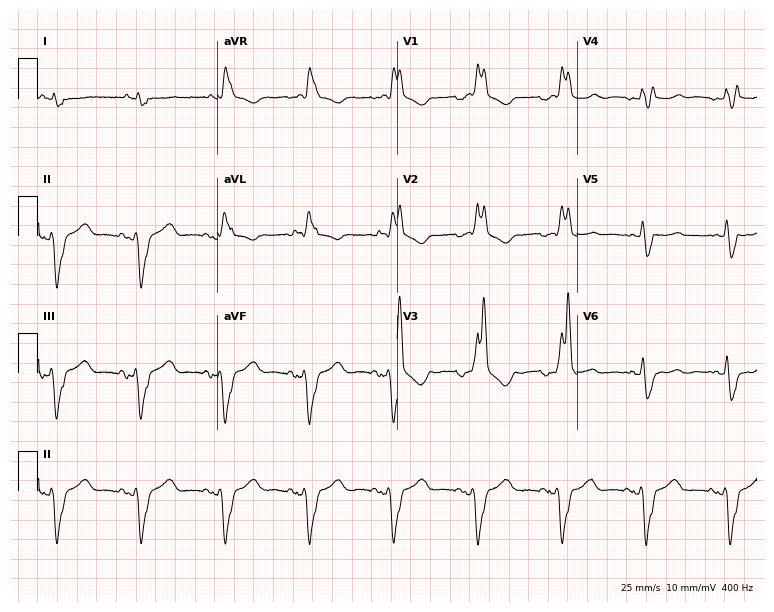
Electrocardiogram (7.3-second recording at 400 Hz), a man, 62 years old. Interpretation includes right bundle branch block (RBBB).